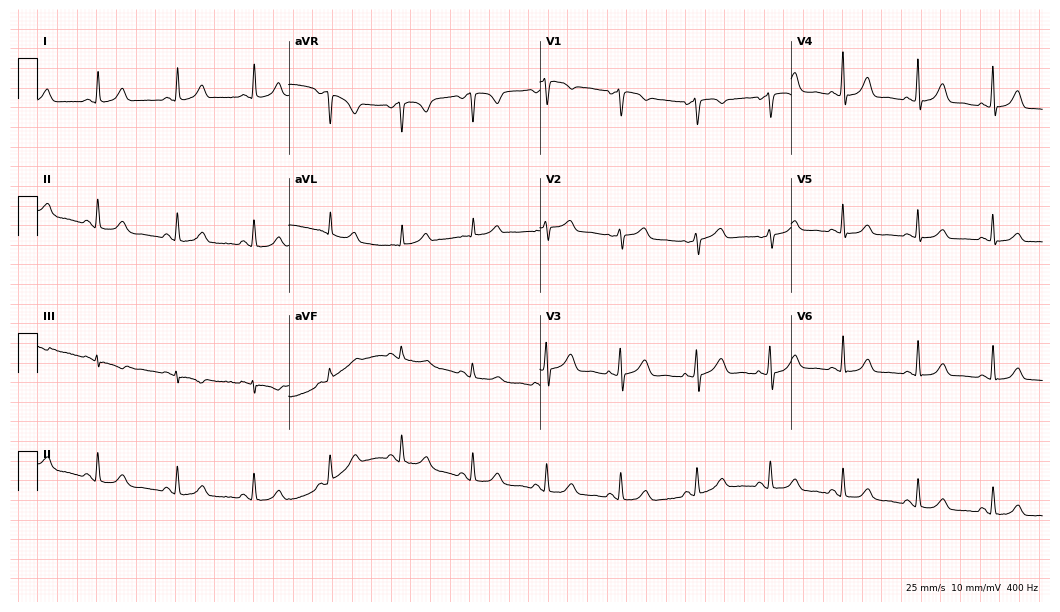
ECG (10.2-second recording at 400 Hz) — a 53-year-old woman. Labelled as a normal ECG.